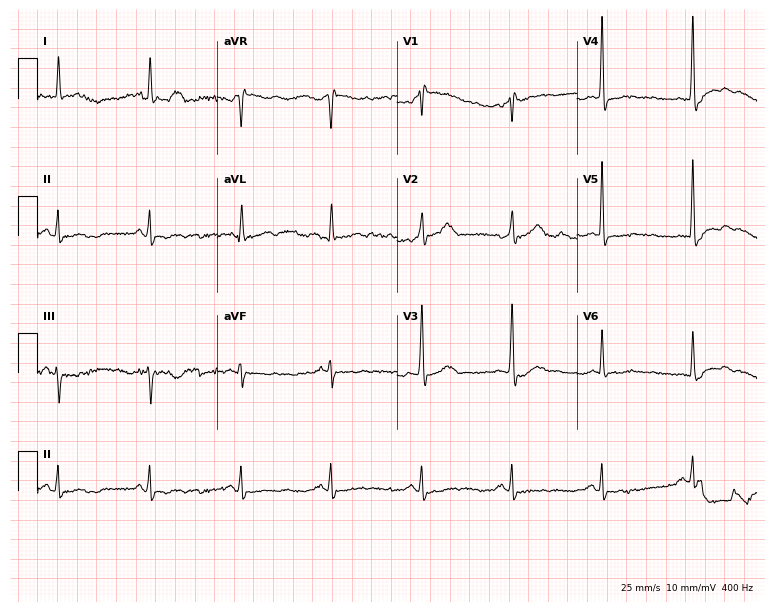
Standard 12-lead ECG recorded from a male patient, 73 years old (7.3-second recording at 400 Hz). None of these six findings is recorded: first-degree AV block, right bundle branch block, left bundle branch block, sinus bradycardia, atrial fibrillation, sinus tachycardia. Only these six findings were labelled.